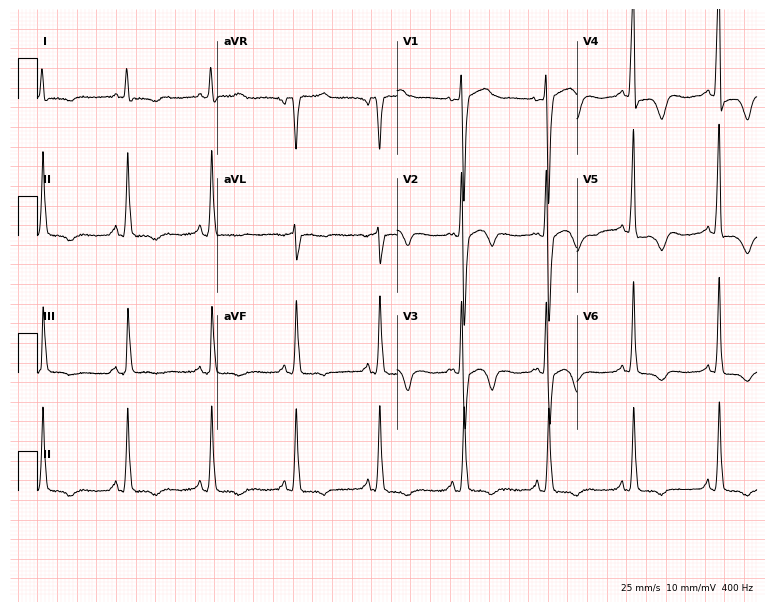
Standard 12-lead ECG recorded from a 79-year-old female patient. None of these six findings is recorded: first-degree AV block, right bundle branch block (RBBB), left bundle branch block (LBBB), sinus bradycardia, atrial fibrillation (AF), sinus tachycardia.